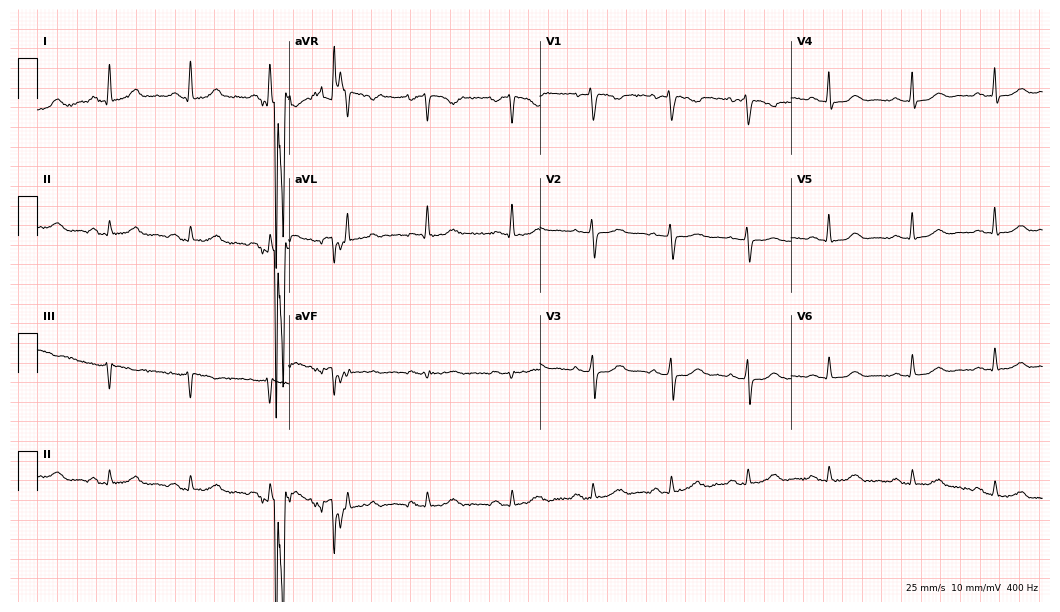
Electrocardiogram, a 38-year-old woman. Of the six screened findings (first-degree AV block, right bundle branch block, left bundle branch block, sinus bradycardia, atrial fibrillation, sinus tachycardia), none is recorded. Only these six findings were labelled.